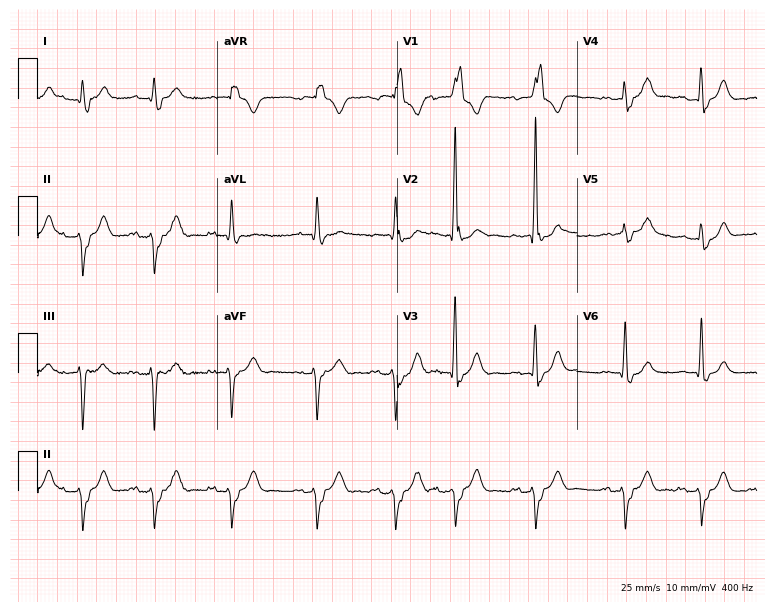
Electrocardiogram (7.3-second recording at 400 Hz), a male patient, 83 years old. Of the six screened findings (first-degree AV block, right bundle branch block (RBBB), left bundle branch block (LBBB), sinus bradycardia, atrial fibrillation (AF), sinus tachycardia), none is recorded.